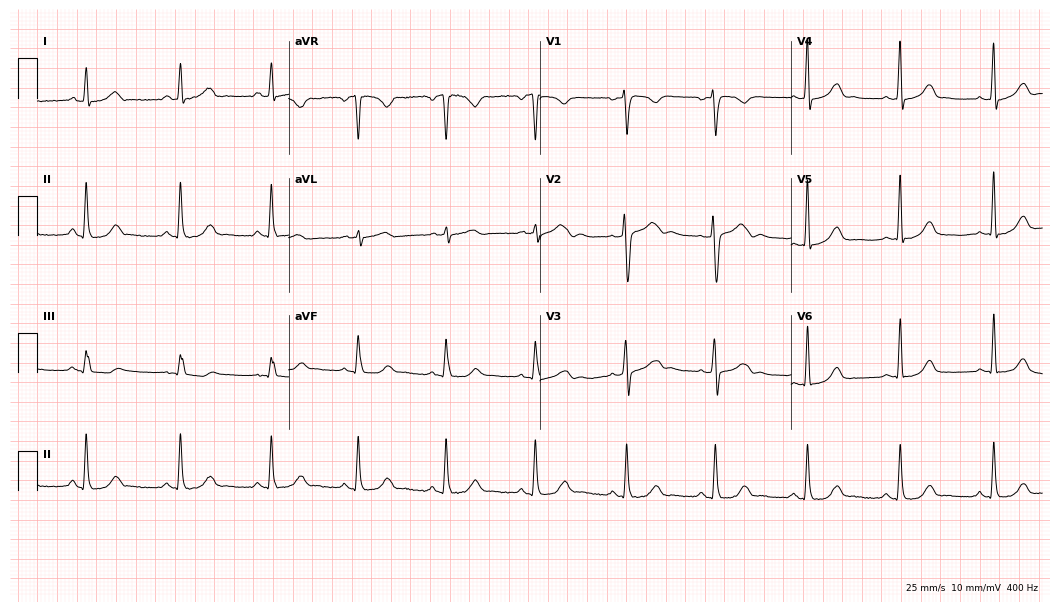
Resting 12-lead electrocardiogram. Patient: a female, 34 years old. None of these six findings is recorded: first-degree AV block, right bundle branch block, left bundle branch block, sinus bradycardia, atrial fibrillation, sinus tachycardia. Findings outside these six are not listed.